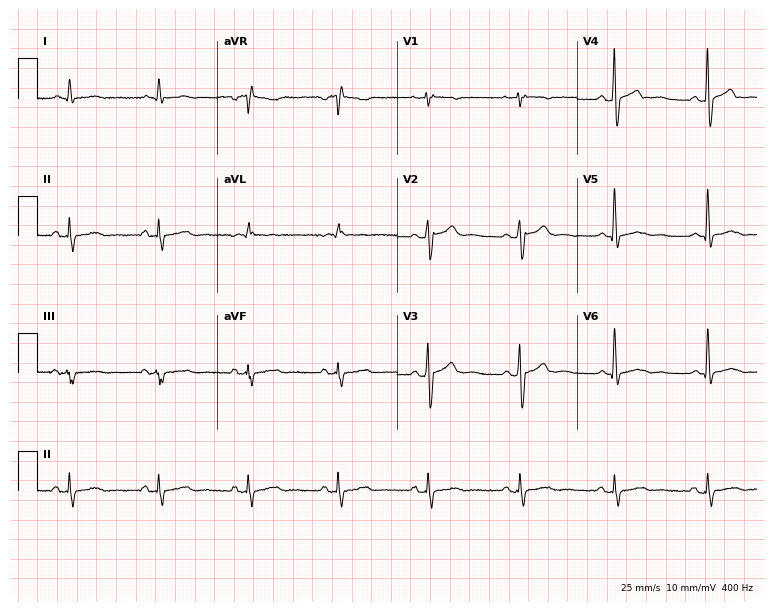
12-lead ECG (7.3-second recording at 400 Hz) from a man, 57 years old. Screened for six findings — first-degree AV block, right bundle branch block, left bundle branch block, sinus bradycardia, atrial fibrillation, sinus tachycardia — none is recorded. Other findings, if any, are not listed.